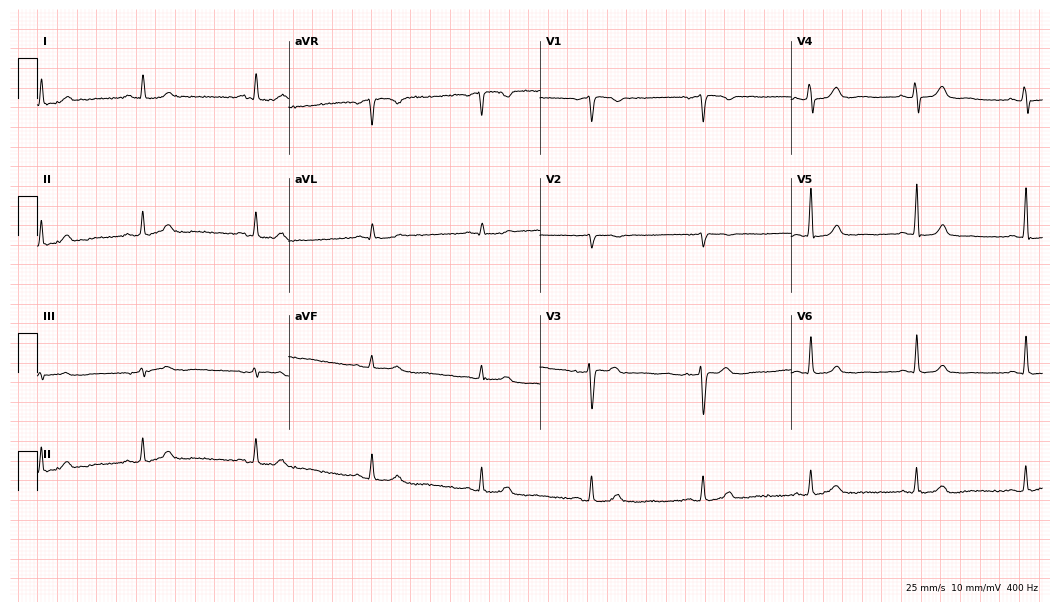
Standard 12-lead ECG recorded from a 68-year-old female (10.2-second recording at 400 Hz). Read as a normal ECG.